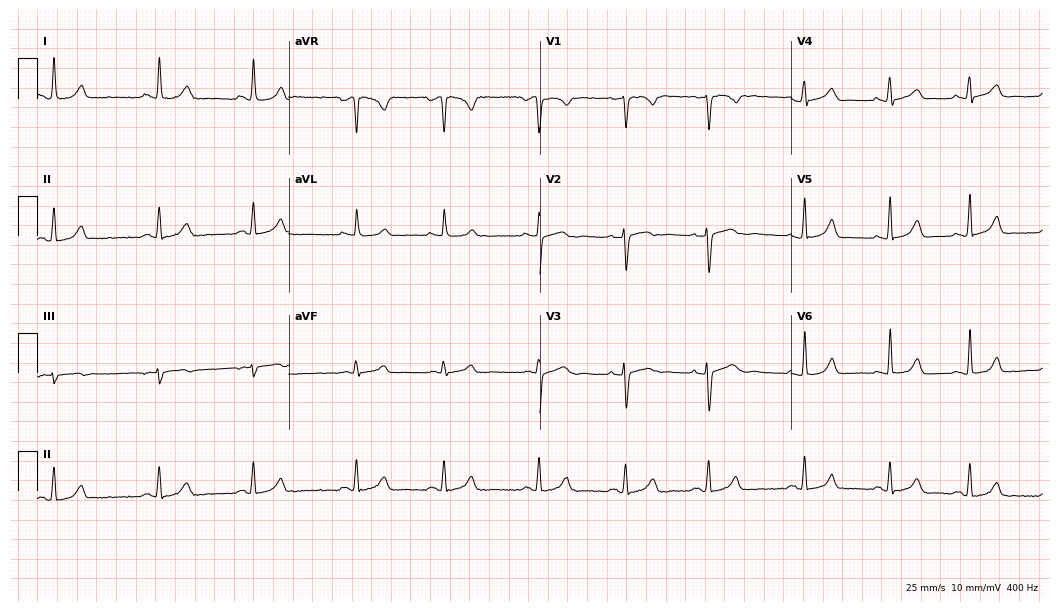
Electrocardiogram, a woman, 29 years old. Of the six screened findings (first-degree AV block, right bundle branch block (RBBB), left bundle branch block (LBBB), sinus bradycardia, atrial fibrillation (AF), sinus tachycardia), none is recorded.